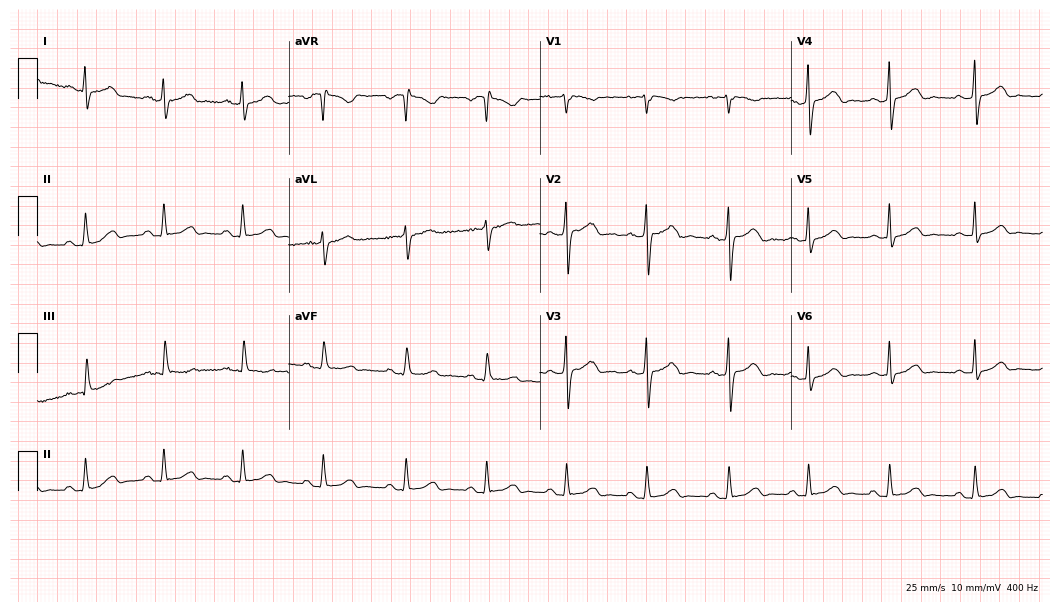
Resting 12-lead electrocardiogram (10.2-second recording at 400 Hz). Patient: a 33-year-old man. Read as a normal ECG.